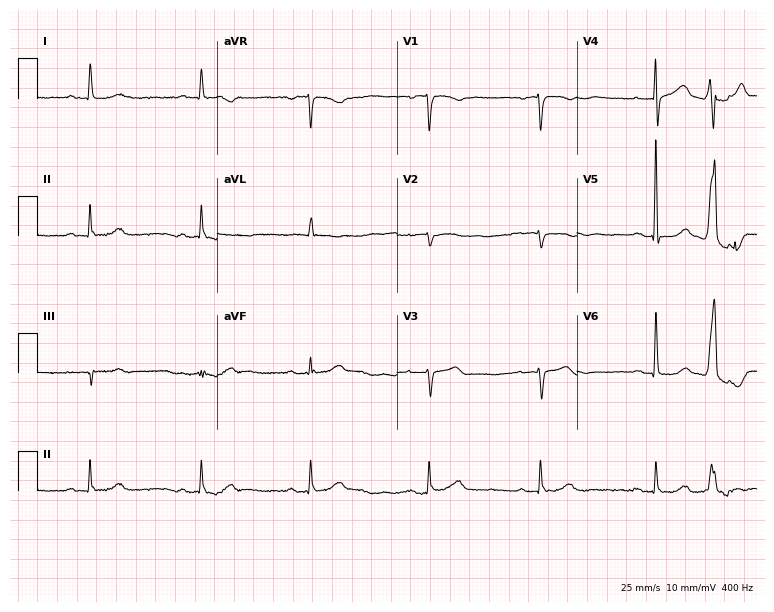
Standard 12-lead ECG recorded from a 72-year-old woman (7.3-second recording at 400 Hz). None of these six findings is recorded: first-degree AV block, right bundle branch block, left bundle branch block, sinus bradycardia, atrial fibrillation, sinus tachycardia.